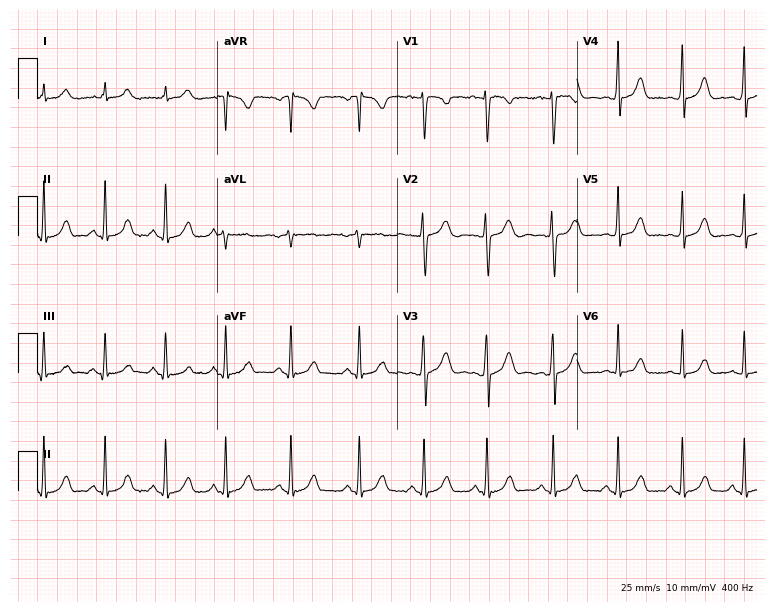
12-lead ECG (7.3-second recording at 400 Hz) from an 18-year-old woman. Screened for six findings — first-degree AV block, right bundle branch block, left bundle branch block, sinus bradycardia, atrial fibrillation, sinus tachycardia — none is recorded.